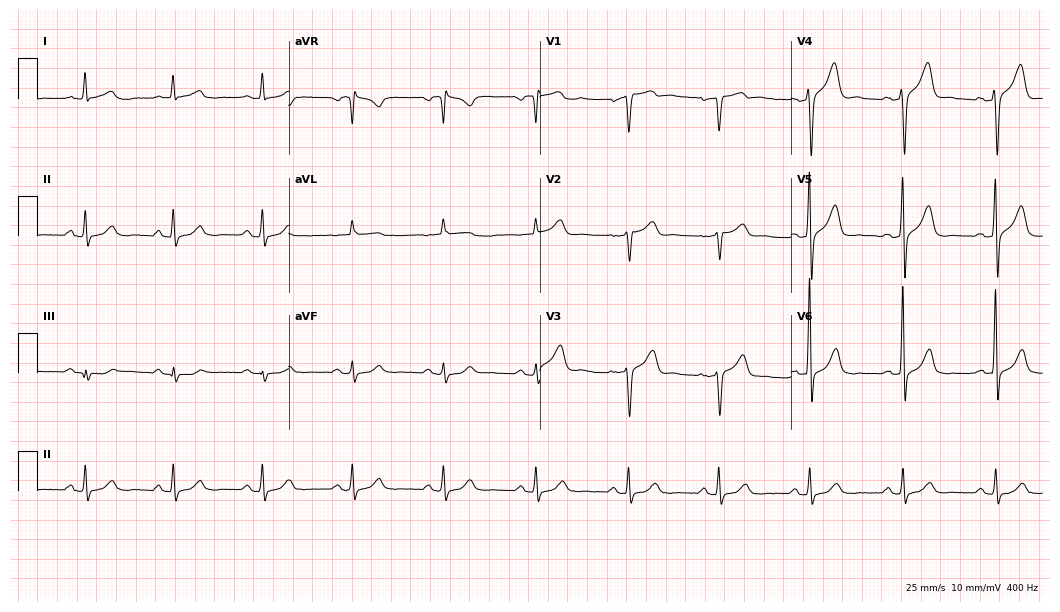
12-lead ECG from a man, 61 years old. No first-degree AV block, right bundle branch block (RBBB), left bundle branch block (LBBB), sinus bradycardia, atrial fibrillation (AF) or sinus tachycardia recorded for this tracing. Findings outside these six are not listed.